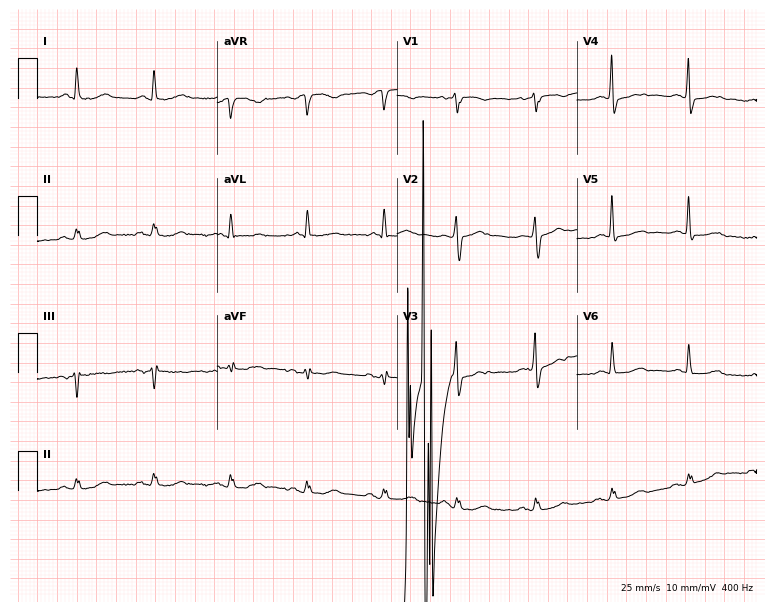
12-lead ECG from a man, 76 years old. No first-degree AV block, right bundle branch block, left bundle branch block, sinus bradycardia, atrial fibrillation or sinus tachycardia recorded for this tracing. Other findings, if any, are not listed.